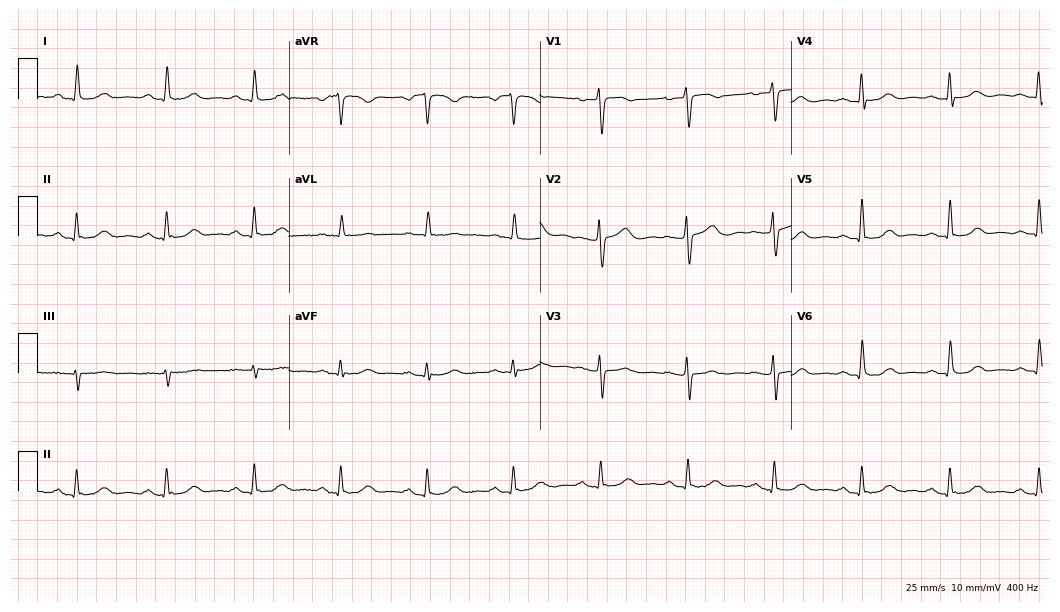
Resting 12-lead electrocardiogram. Patient: a female, 62 years old. Read as a normal ECG.